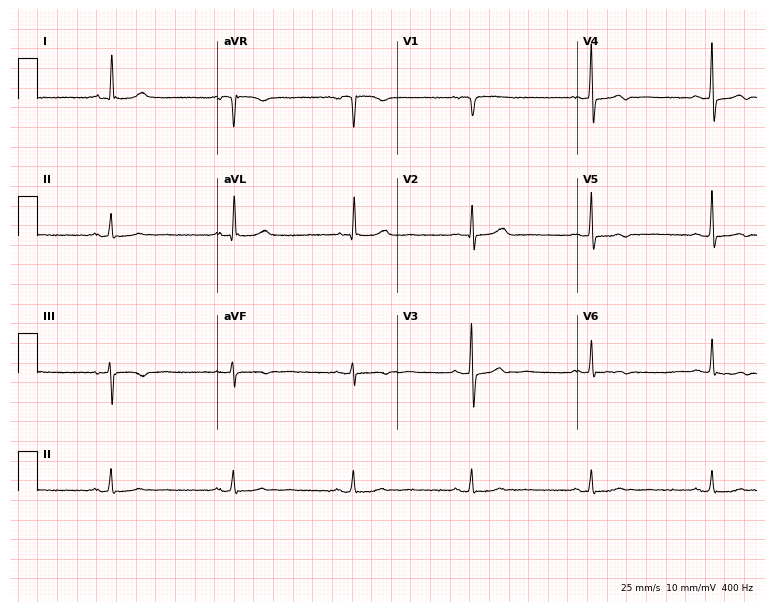
12-lead ECG (7.3-second recording at 400 Hz) from a female, 71 years old. Findings include sinus bradycardia (a sinus rate of 50 beats per minute or less).